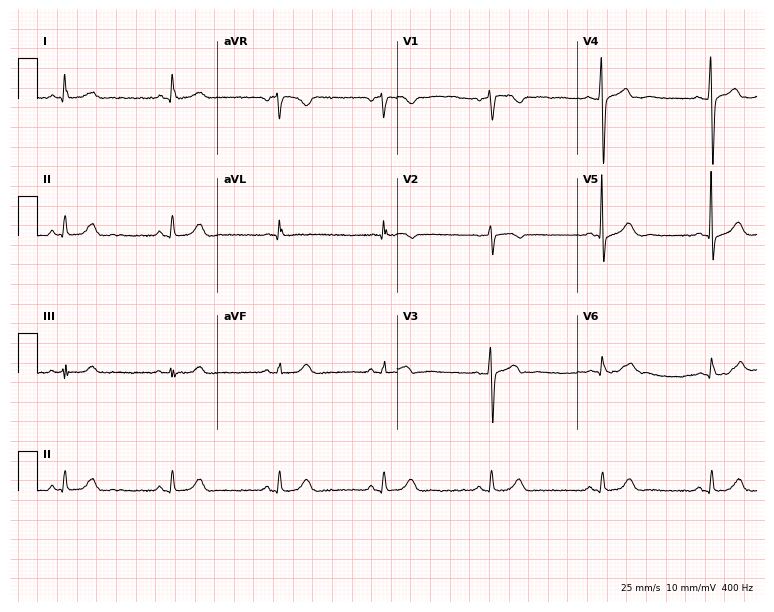
ECG (7.3-second recording at 400 Hz) — a female patient, 53 years old. Screened for six findings — first-degree AV block, right bundle branch block (RBBB), left bundle branch block (LBBB), sinus bradycardia, atrial fibrillation (AF), sinus tachycardia — none is recorded. Findings outside these six are not listed.